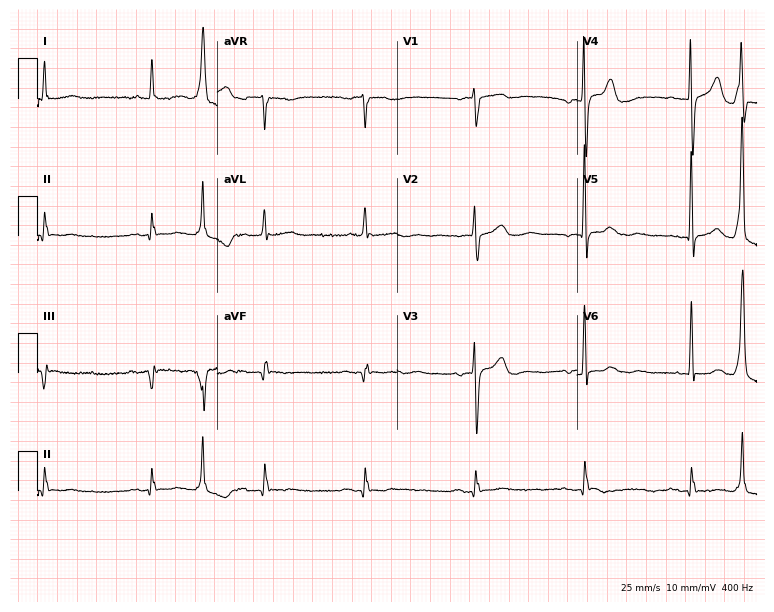
Resting 12-lead electrocardiogram (7.3-second recording at 400 Hz). Patient: a 78-year-old male. None of these six findings is recorded: first-degree AV block, right bundle branch block, left bundle branch block, sinus bradycardia, atrial fibrillation, sinus tachycardia. Only these six findings were labelled.